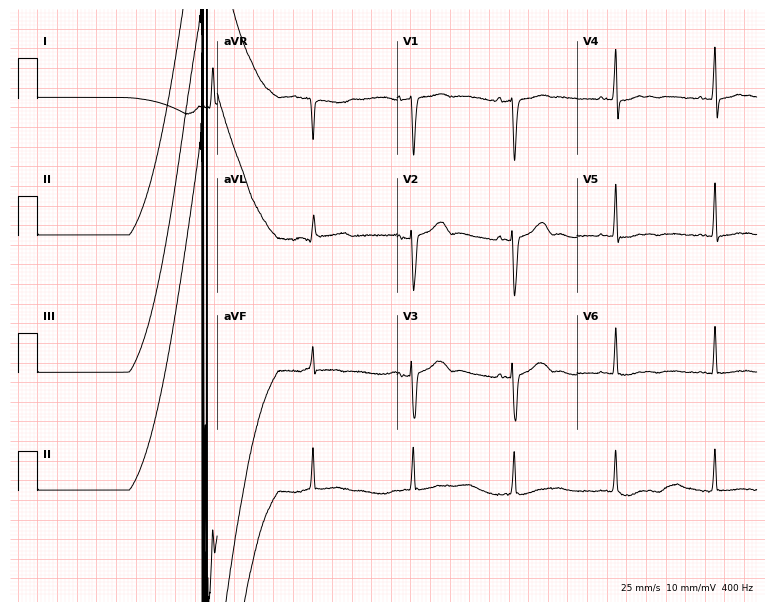
Electrocardiogram (7.3-second recording at 400 Hz), a female, 30 years old. Of the six screened findings (first-degree AV block, right bundle branch block (RBBB), left bundle branch block (LBBB), sinus bradycardia, atrial fibrillation (AF), sinus tachycardia), none is recorded. Findings outside these six are not listed.